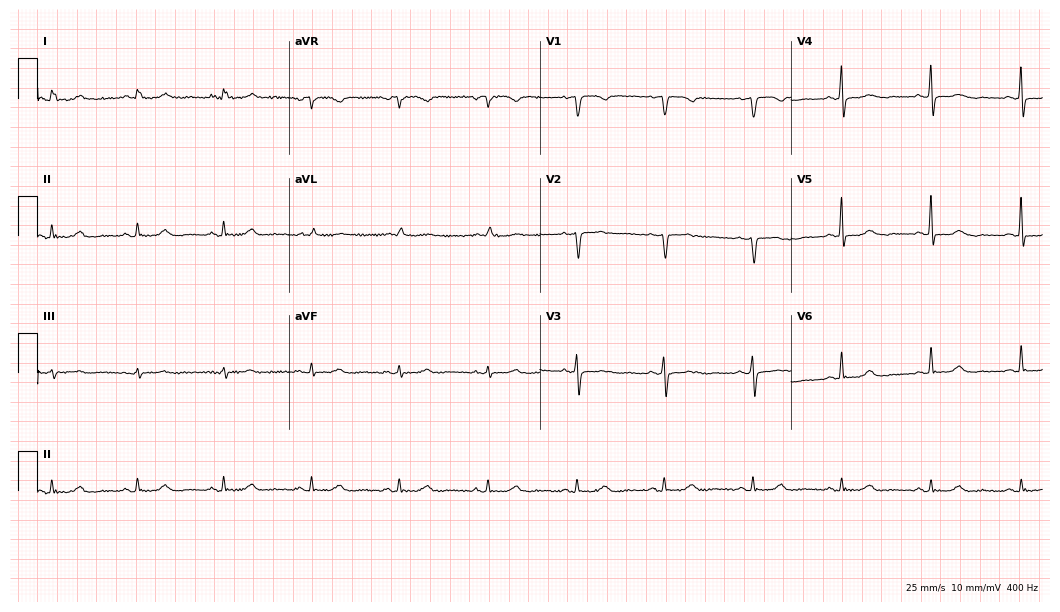
Standard 12-lead ECG recorded from an 84-year-old female (10.2-second recording at 400 Hz). None of these six findings is recorded: first-degree AV block, right bundle branch block (RBBB), left bundle branch block (LBBB), sinus bradycardia, atrial fibrillation (AF), sinus tachycardia.